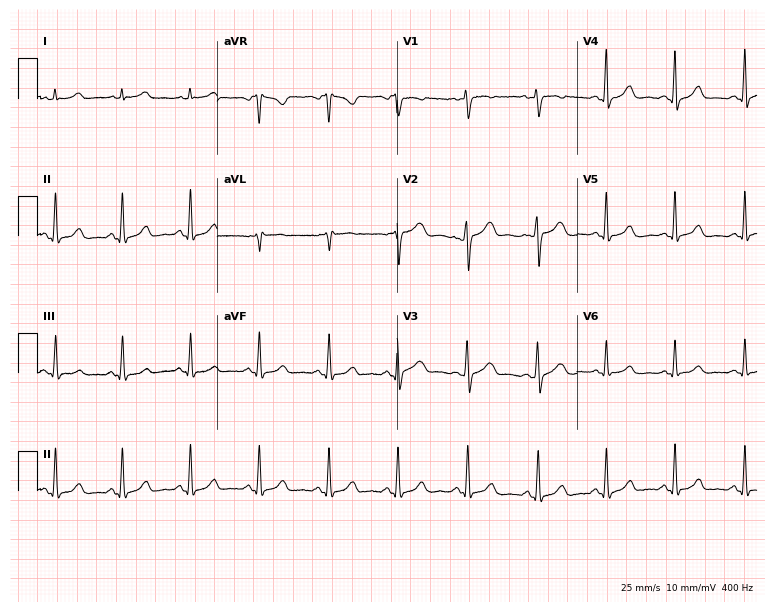
12-lead ECG from a female patient, 40 years old. Recorded interpretation: within normal limits.